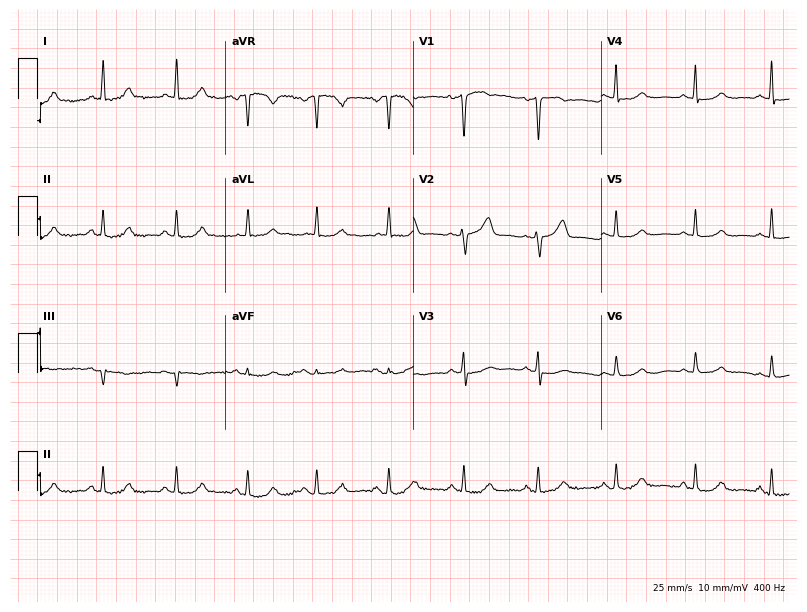
12-lead ECG from a woman, 60 years old. Recorded interpretation: within normal limits.